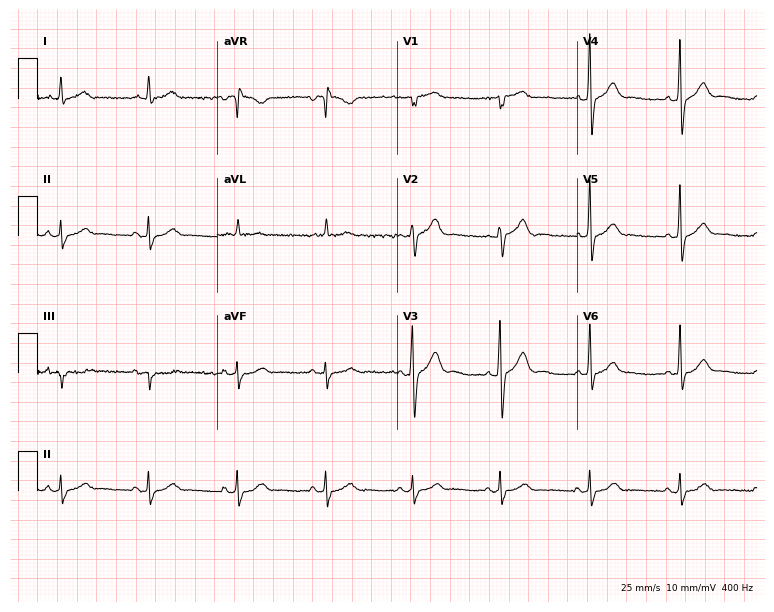
12-lead ECG (7.3-second recording at 400 Hz) from a male patient, 61 years old. Labelled as a normal ECG.